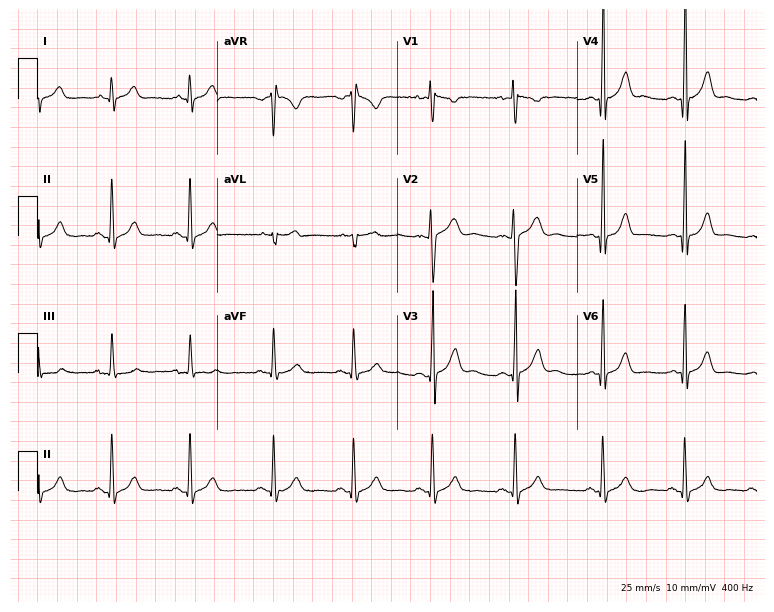
Resting 12-lead electrocardiogram (7.3-second recording at 400 Hz). Patient: a 22-year-old male. Read as a normal ECG.